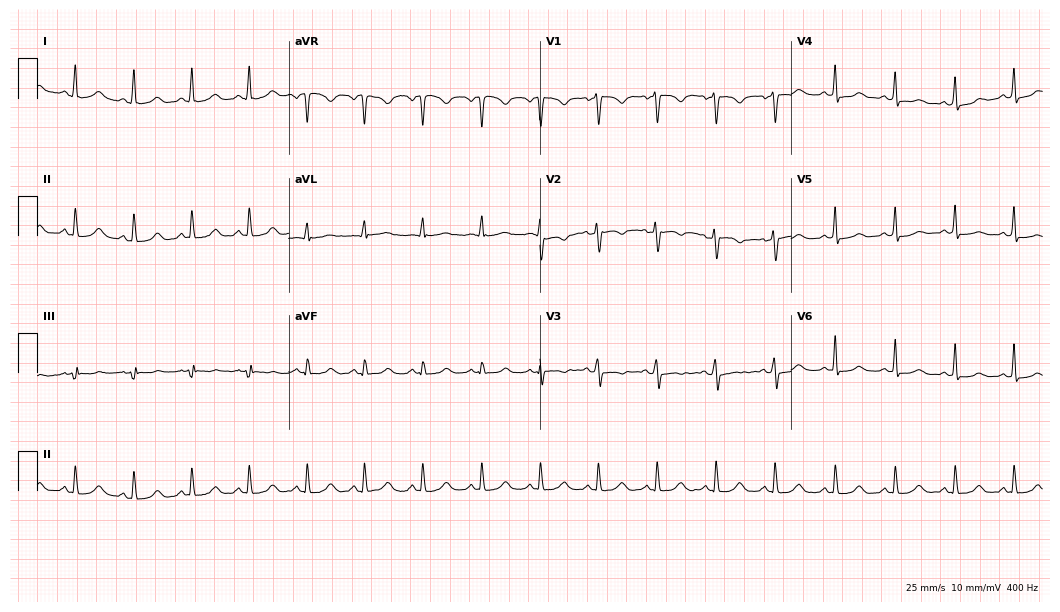
Electrocardiogram (10.2-second recording at 400 Hz), a female patient, 31 years old. Overall reading on record: normal ECG.